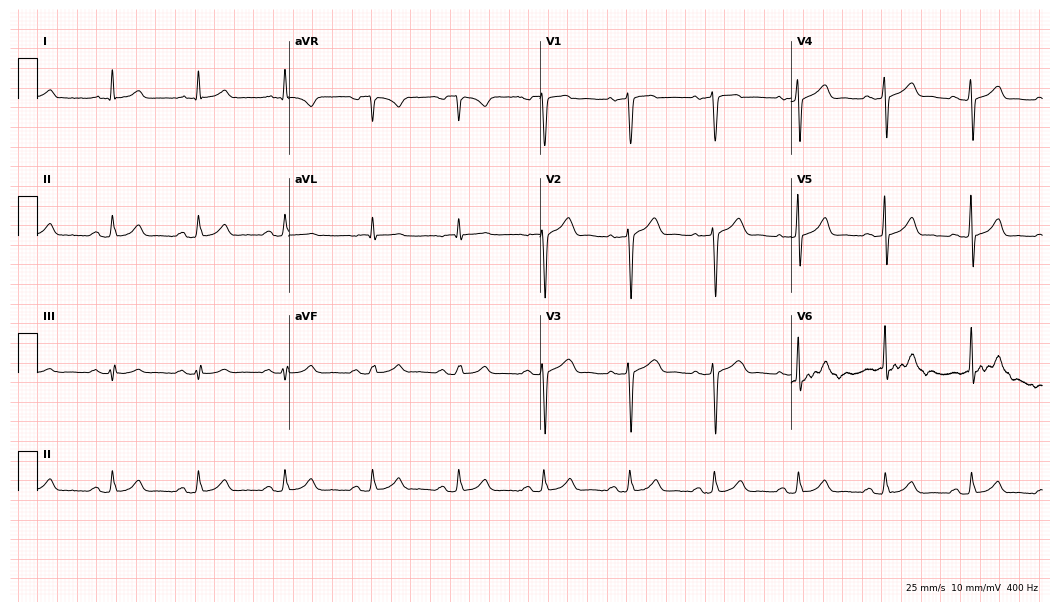
12-lead ECG from a 64-year-old man (10.2-second recording at 400 Hz). Recorded interpretation: within normal limits.